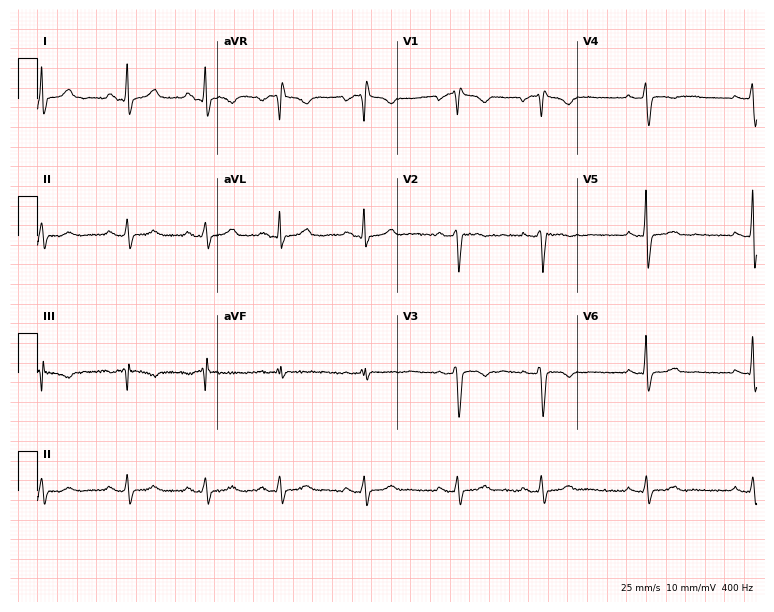
Standard 12-lead ECG recorded from a female, 44 years old (7.3-second recording at 400 Hz). None of these six findings is recorded: first-degree AV block, right bundle branch block (RBBB), left bundle branch block (LBBB), sinus bradycardia, atrial fibrillation (AF), sinus tachycardia. Findings outside these six are not listed.